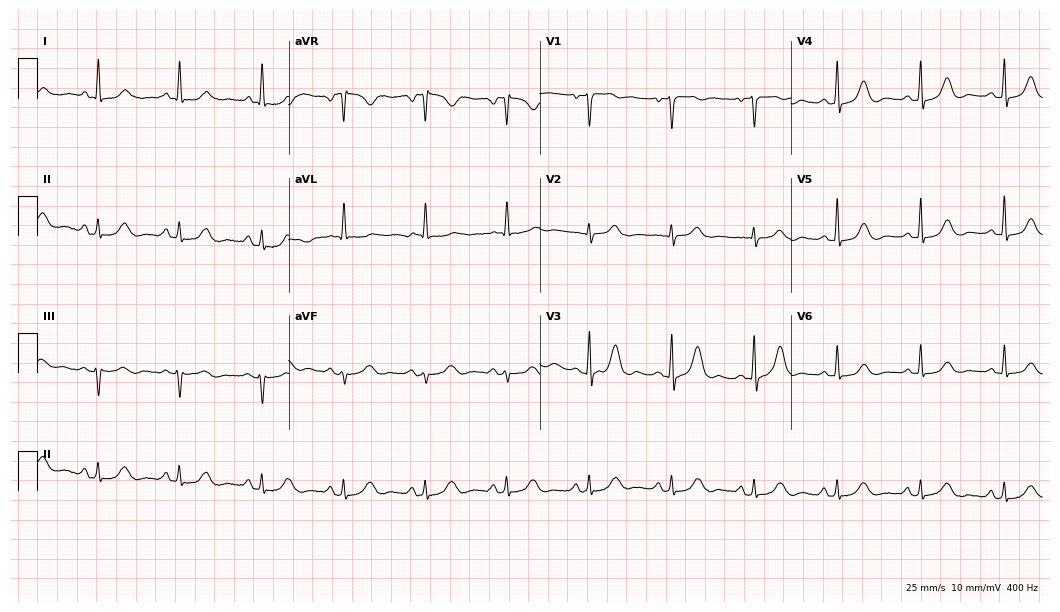
Electrocardiogram, a female patient, 73 years old. Overall reading on record: normal ECG.